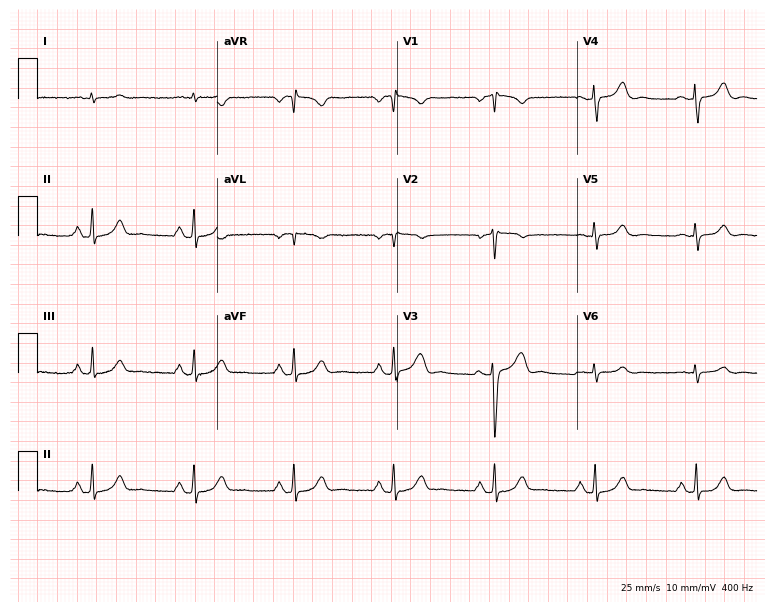
Standard 12-lead ECG recorded from a man, 58 years old (7.3-second recording at 400 Hz). None of these six findings is recorded: first-degree AV block, right bundle branch block, left bundle branch block, sinus bradycardia, atrial fibrillation, sinus tachycardia.